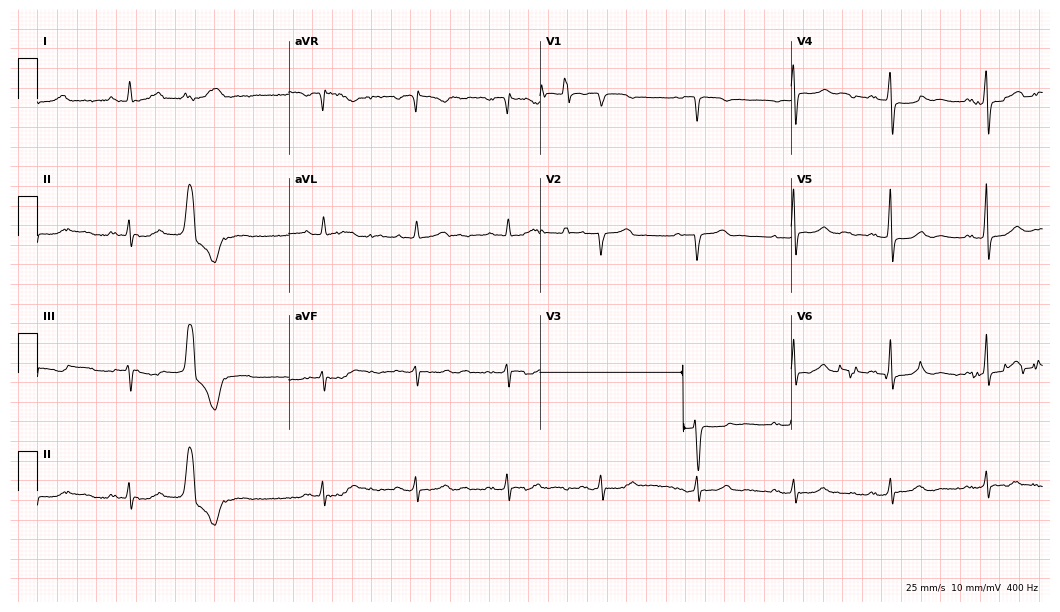
Electrocardiogram, a 56-year-old female. Of the six screened findings (first-degree AV block, right bundle branch block, left bundle branch block, sinus bradycardia, atrial fibrillation, sinus tachycardia), none is recorded. Other findings, if any, are not listed.